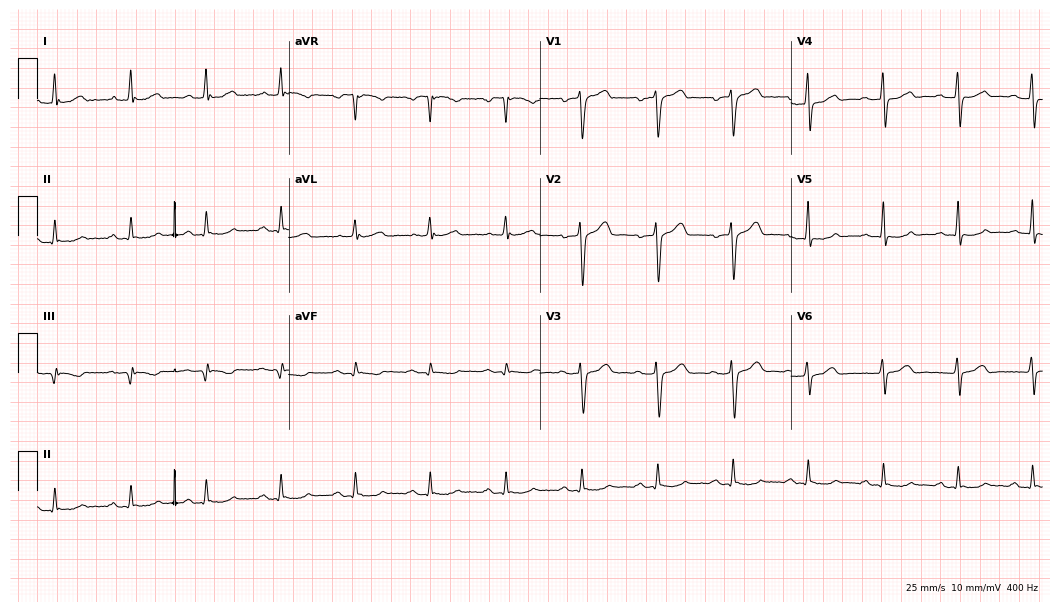
ECG (10.2-second recording at 400 Hz) — a 55-year-old male patient. Labelled as a normal ECG.